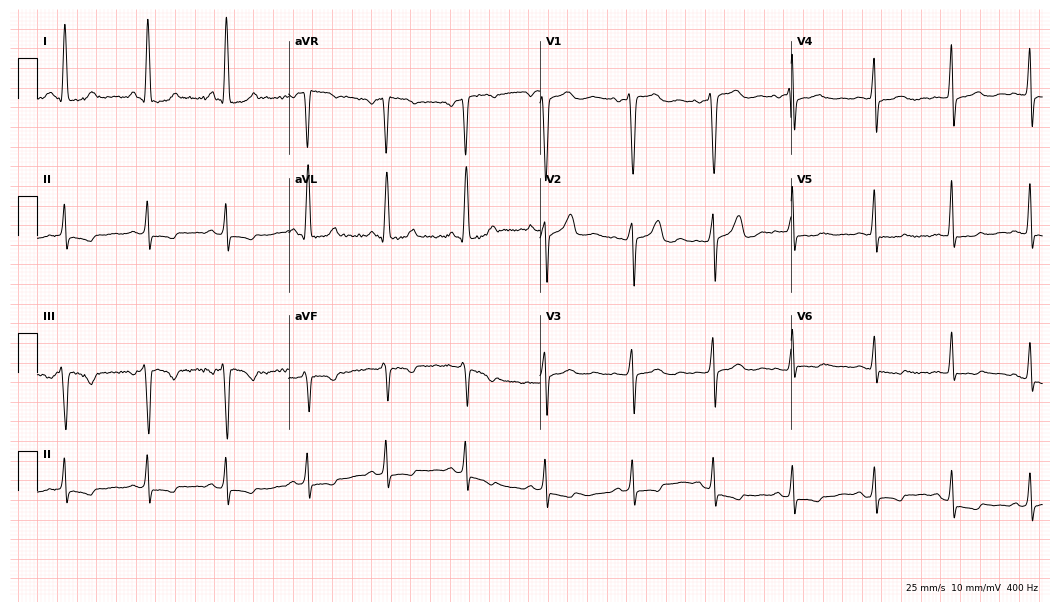
Resting 12-lead electrocardiogram (10.2-second recording at 400 Hz). Patient: a 34-year-old woman. None of these six findings is recorded: first-degree AV block, right bundle branch block, left bundle branch block, sinus bradycardia, atrial fibrillation, sinus tachycardia. Other findings, if any, are not listed.